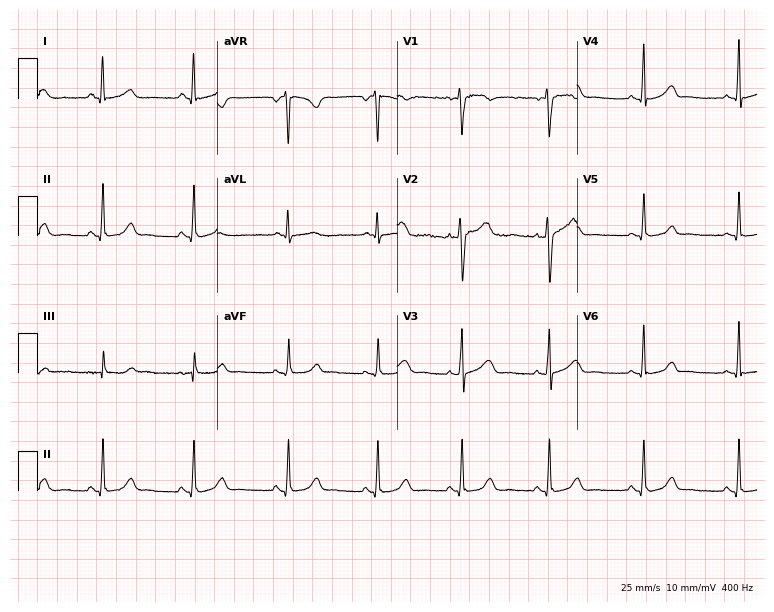
12-lead ECG from a 44-year-old woman. Recorded interpretation: within normal limits.